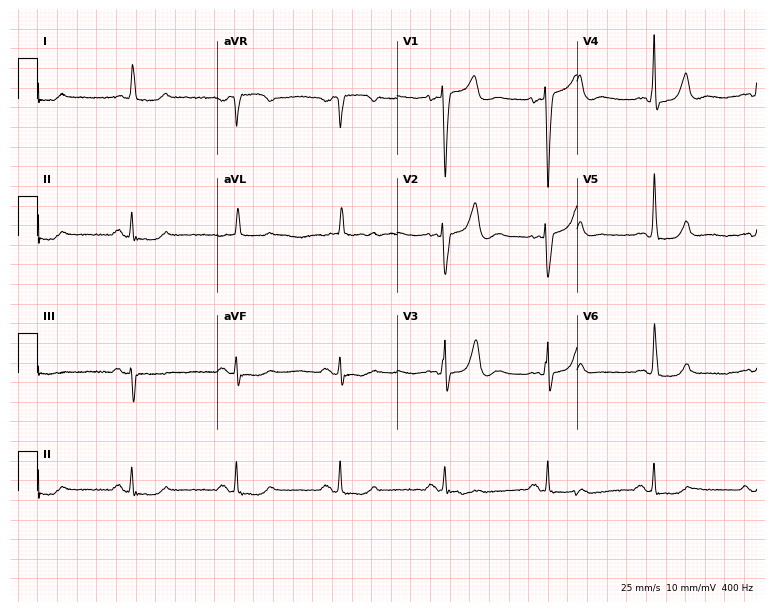
ECG (7.3-second recording at 400 Hz) — a male patient, 84 years old. Screened for six findings — first-degree AV block, right bundle branch block, left bundle branch block, sinus bradycardia, atrial fibrillation, sinus tachycardia — none is recorded.